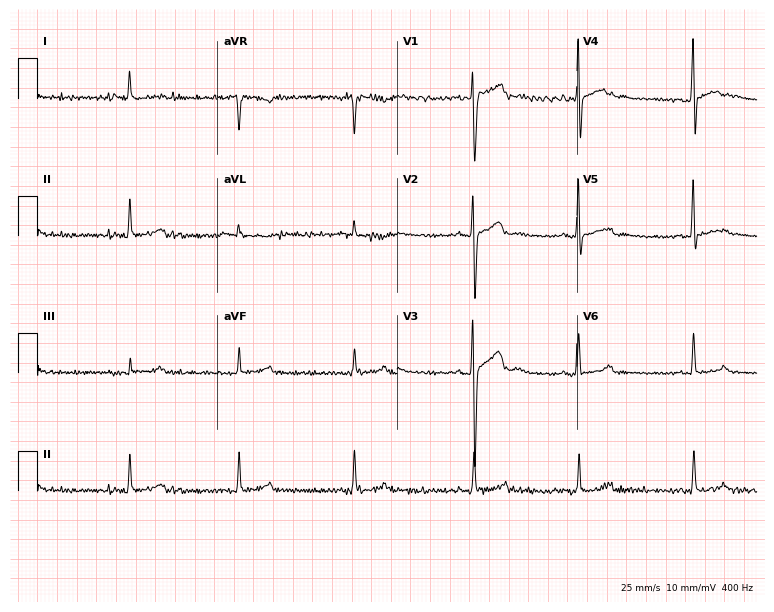
Electrocardiogram (7.3-second recording at 400 Hz), a 23-year-old man. Of the six screened findings (first-degree AV block, right bundle branch block, left bundle branch block, sinus bradycardia, atrial fibrillation, sinus tachycardia), none is recorded.